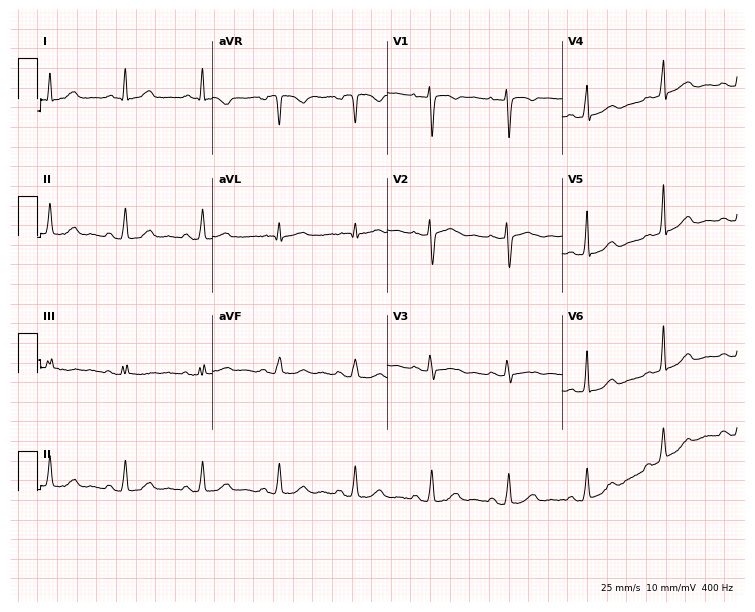
Resting 12-lead electrocardiogram (7.1-second recording at 400 Hz). Patient: a female, 43 years old. None of these six findings is recorded: first-degree AV block, right bundle branch block (RBBB), left bundle branch block (LBBB), sinus bradycardia, atrial fibrillation (AF), sinus tachycardia.